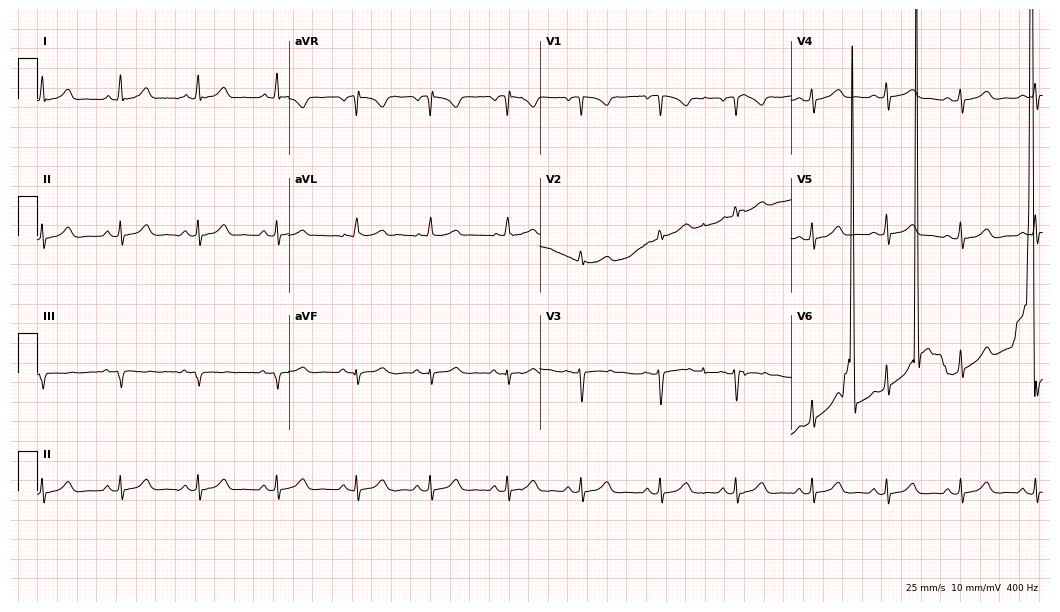
12-lead ECG from a 34-year-old woman. Screened for six findings — first-degree AV block, right bundle branch block, left bundle branch block, sinus bradycardia, atrial fibrillation, sinus tachycardia — none is recorded.